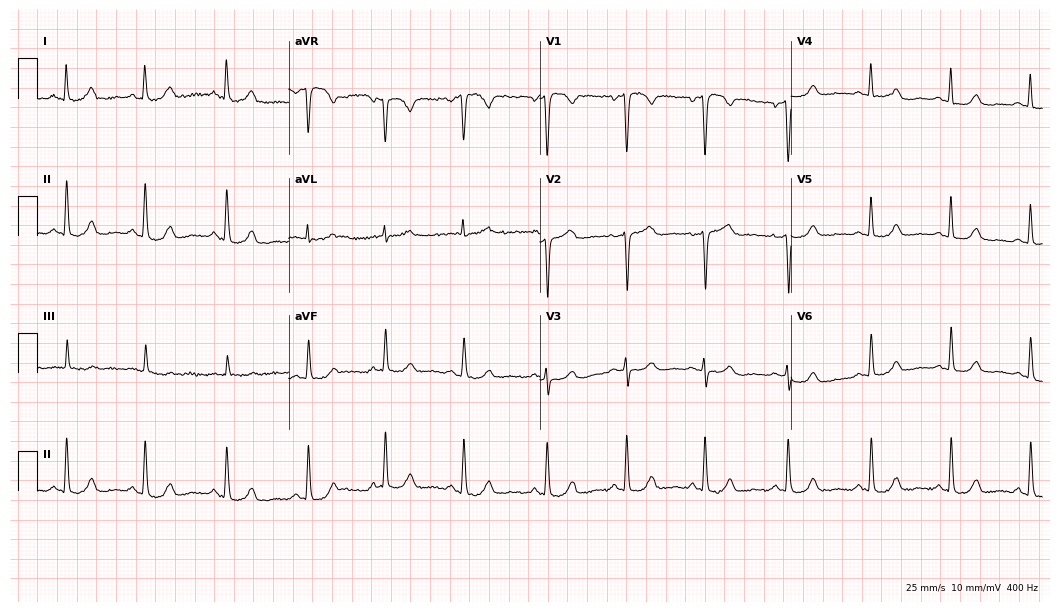
Resting 12-lead electrocardiogram. Patient: a female, 47 years old. Read as a normal ECG.